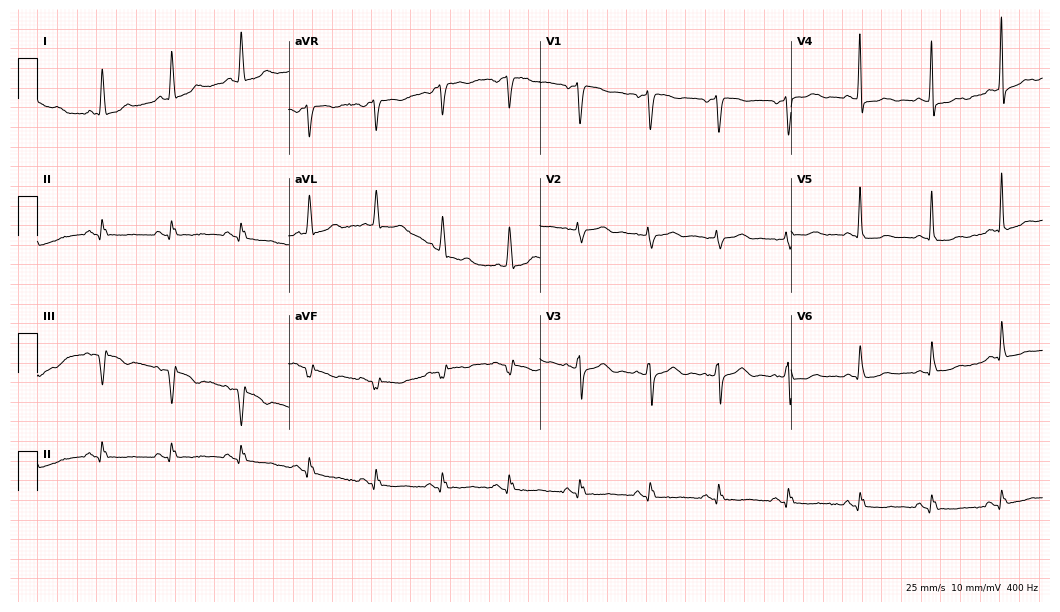
ECG — a female patient, 59 years old. Screened for six findings — first-degree AV block, right bundle branch block, left bundle branch block, sinus bradycardia, atrial fibrillation, sinus tachycardia — none is recorded.